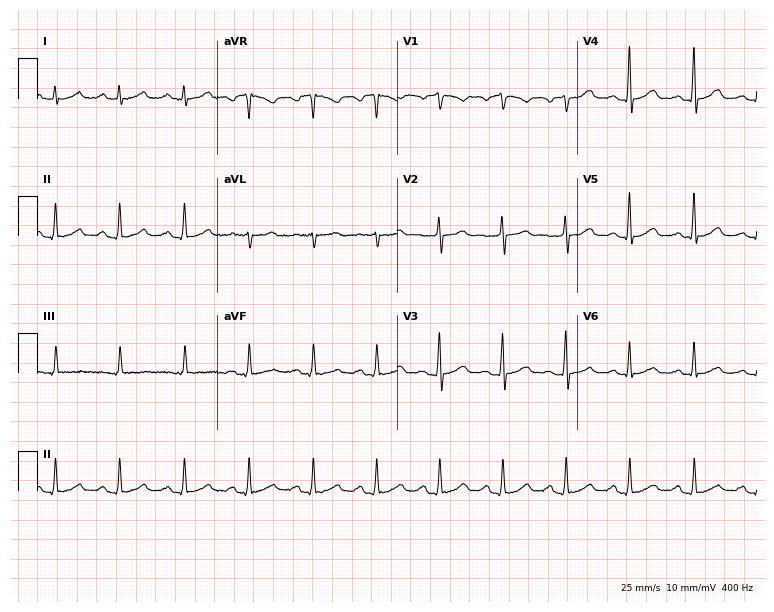
12-lead ECG from a male, 43 years old. Recorded interpretation: within normal limits.